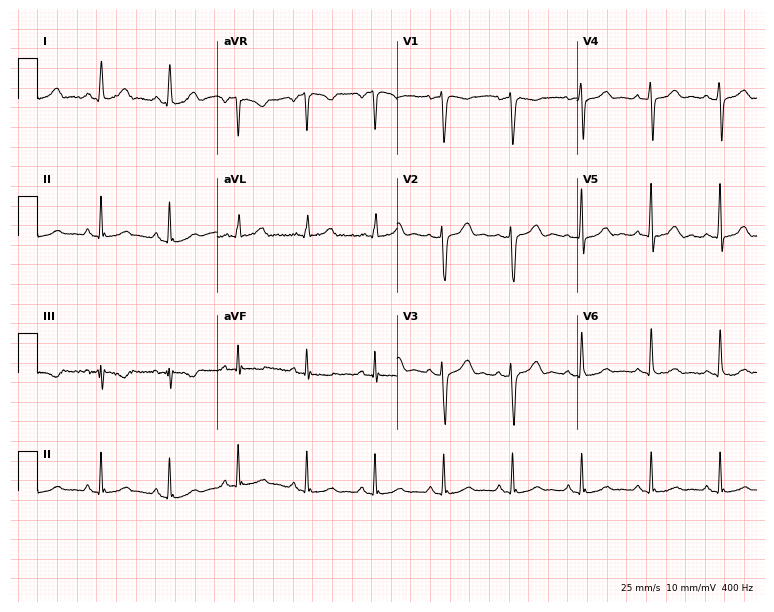
Resting 12-lead electrocardiogram. Patient: a 46-year-old woman. Read as a normal ECG.